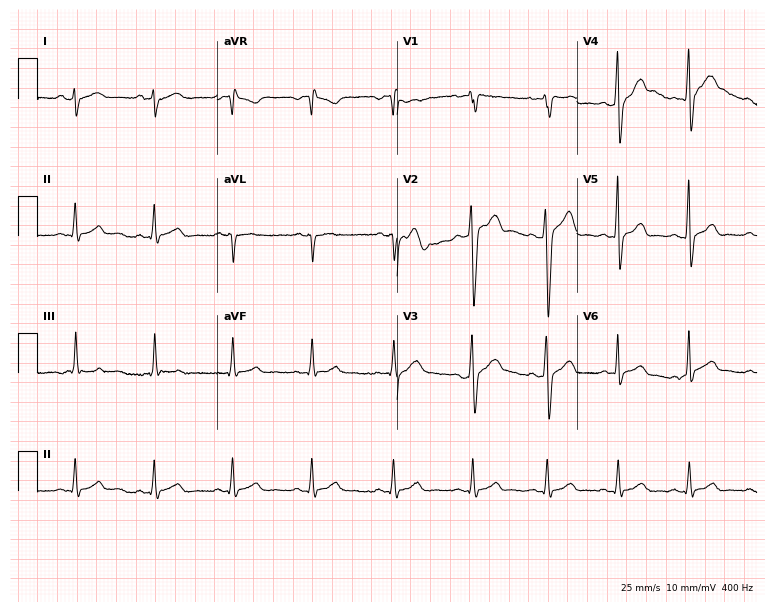
ECG (7.3-second recording at 400 Hz) — a 26-year-old man. Screened for six findings — first-degree AV block, right bundle branch block (RBBB), left bundle branch block (LBBB), sinus bradycardia, atrial fibrillation (AF), sinus tachycardia — none is recorded.